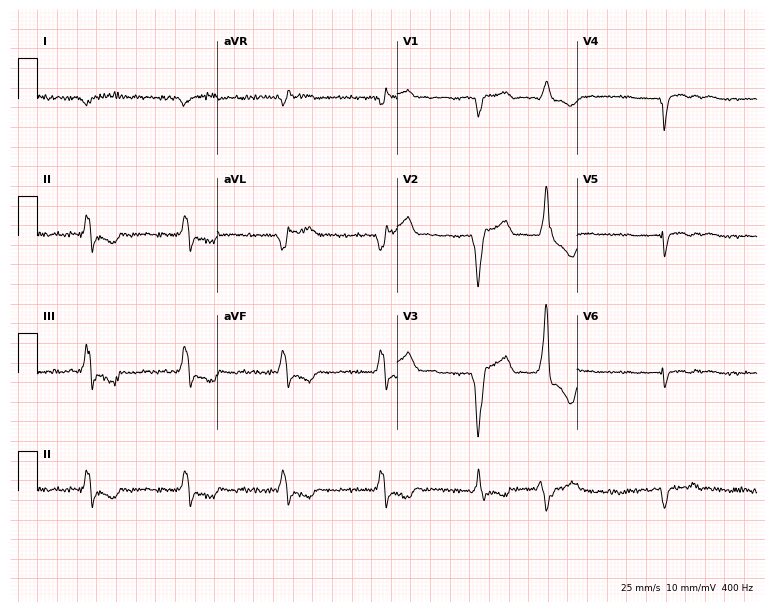
12-lead ECG from a 70-year-old man (7.3-second recording at 400 Hz). No first-degree AV block, right bundle branch block (RBBB), left bundle branch block (LBBB), sinus bradycardia, atrial fibrillation (AF) or sinus tachycardia recorded for this tracing.